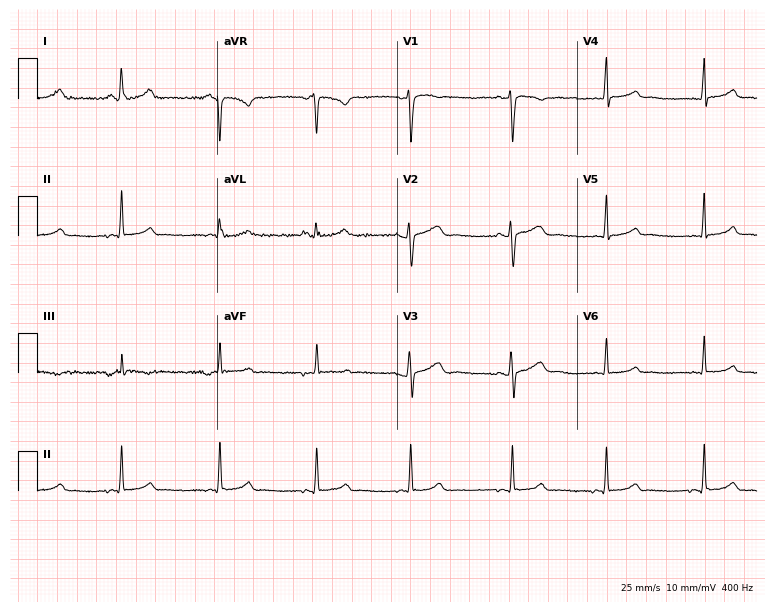
Electrocardiogram (7.3-second recording at 400 Hz), a 23-year-old man. Of the six screened findings (first-degree AV block, right bundle branch block (RBBB), left bundle branch block (LBBB), sinus bradycardia, atrial fibrillation (AF), sinus tachycardia), none is recorded. Other findings, if any, are not listed.